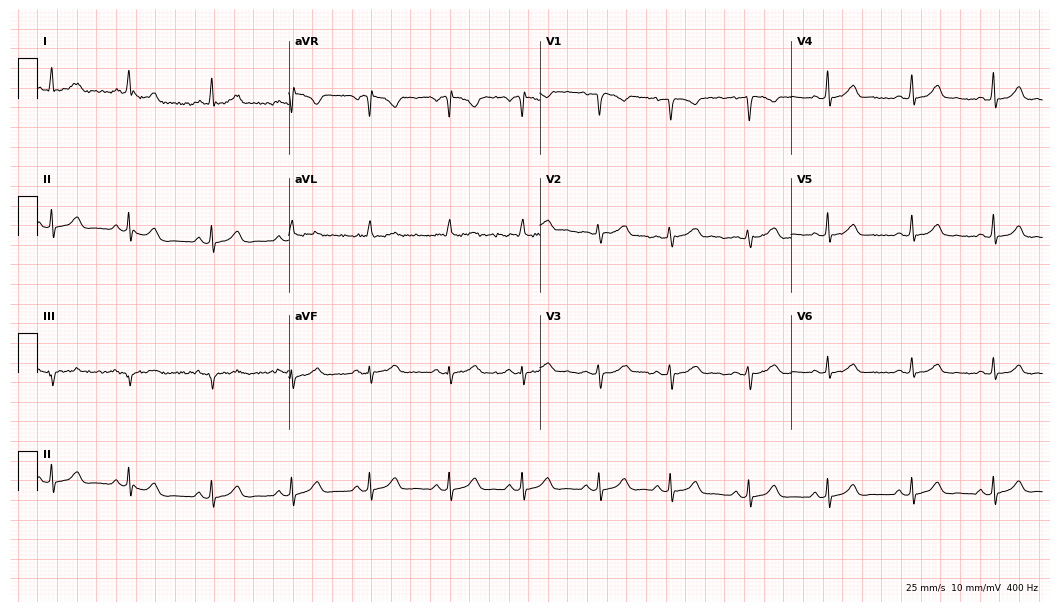
ECG — a 32-year-old woman. Labelled as a normal ECG.